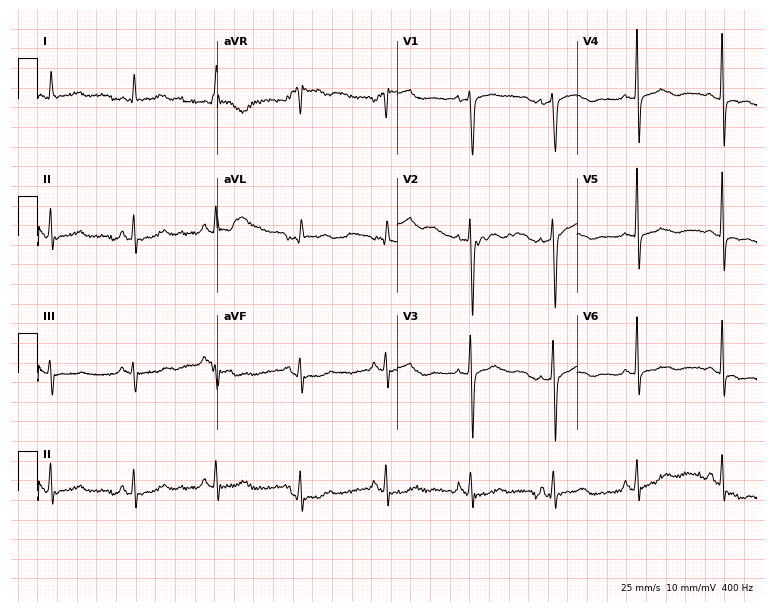
Electrocardiogram (7.3-second recording at 400 Hz), a woman, 64 years old. Of the six screened findings (first-degree AV block, right bundle branch block, left bundle branch block, sinus bradycardia, atrial fibrillation, sinus tachycardia), none is recorded.